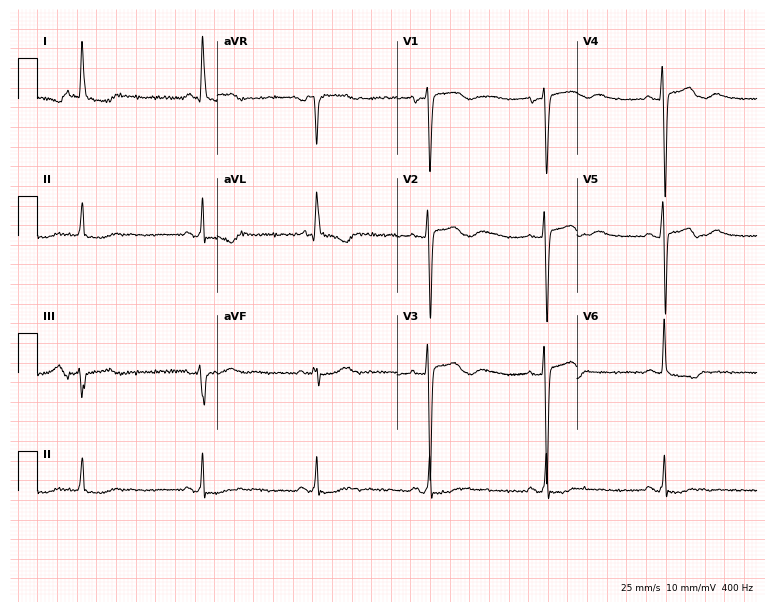
ECG (7.3-second recording at 400 Hz) — a woman, 68 years old. Screened for six findings — first-degree AV block, right bundle branch block, left bundle branch block, sinus bradycardia, atrial fibrillation, sinus tachycardia — none is recorded. Only these six findings were labelled.